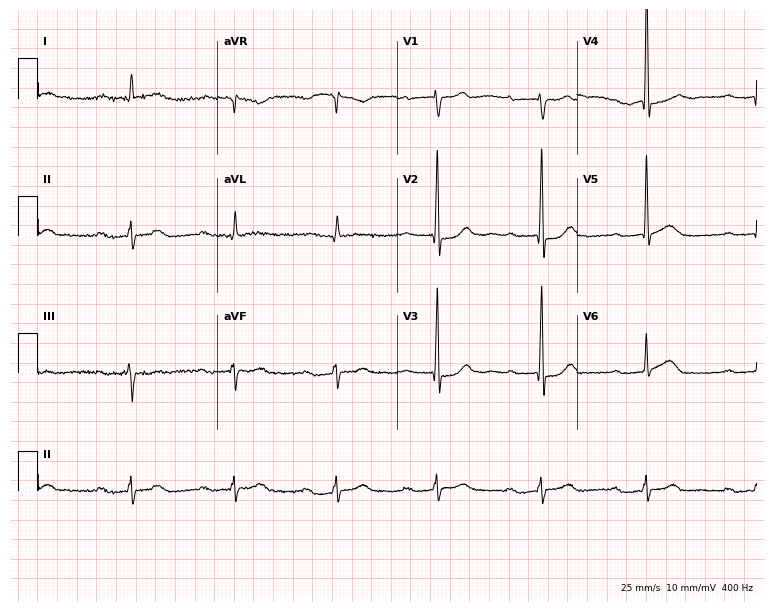
12-lead ECG from a 66-year-old male patient. Screened for six findings — first-degree AV block, right bundle branch block, left bundle branch block, sinus bradycardia, atrial fibrillation, sinus tachycardia — none is recorded. Only these six findings were labelled.